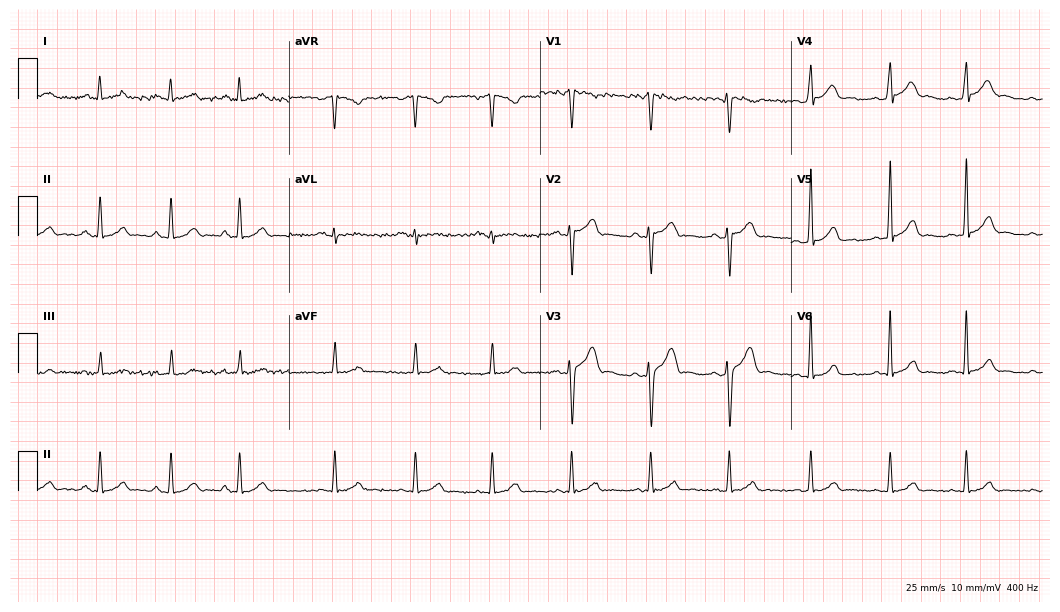
Resting 12-lead electrocardiogram (10.2-second recording at 400 Hz). Patient: a 27-year-old man. None of these six findings is recorded: first-degree AV block, right bundle branch block (RBBB), left bundle branch block (LBBB), sinus bradycardia, atrial fibrillation (AF), sinus tachycardia. Findings outside these six are not listed.